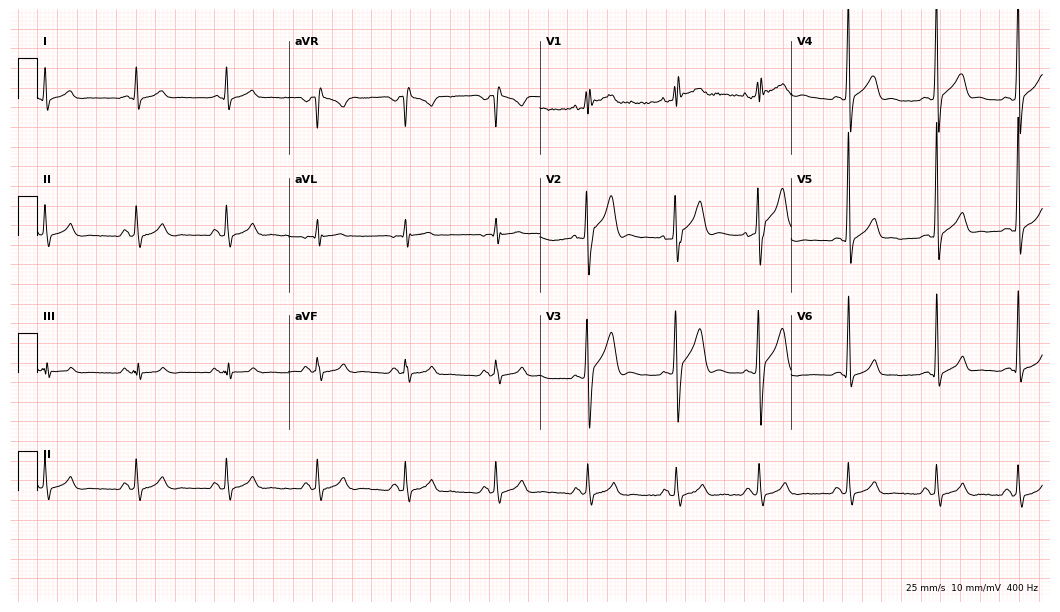
Standard 12-lead ECG recorded from a male patient, 20 years old. None of these six findings is recorded: first-degree AV block, right bundle branch block, left bundle branch block, sinus bradycardia, atrial fibrillation, sinus tachycardia. Other findings, if any, are not listed.